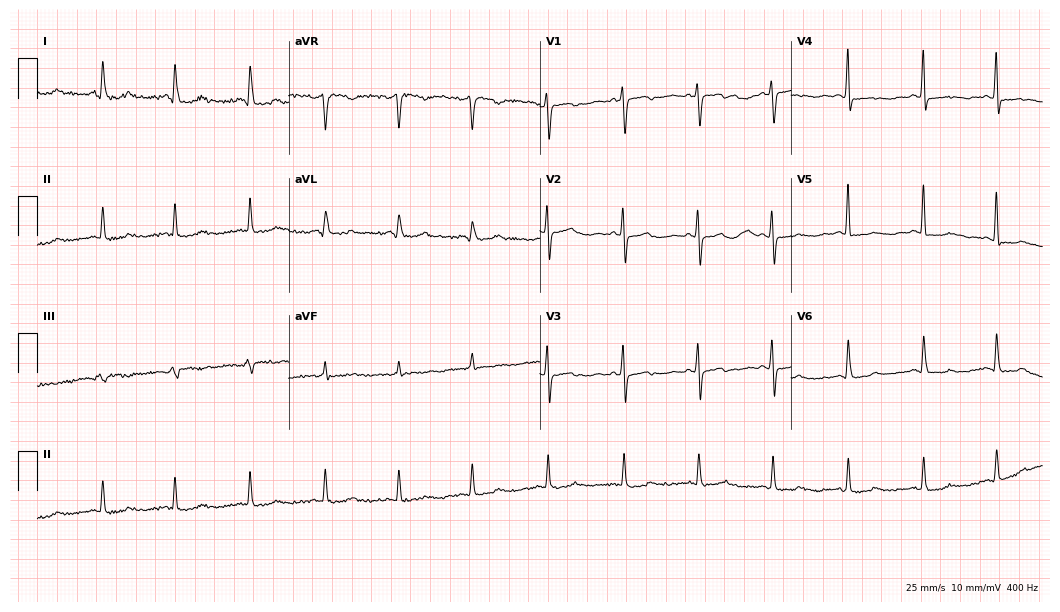
12-lead ECG from a 65-year-old female patient (10.2-second recording at 400 Hz). Recorded interpretation: within normal limits.